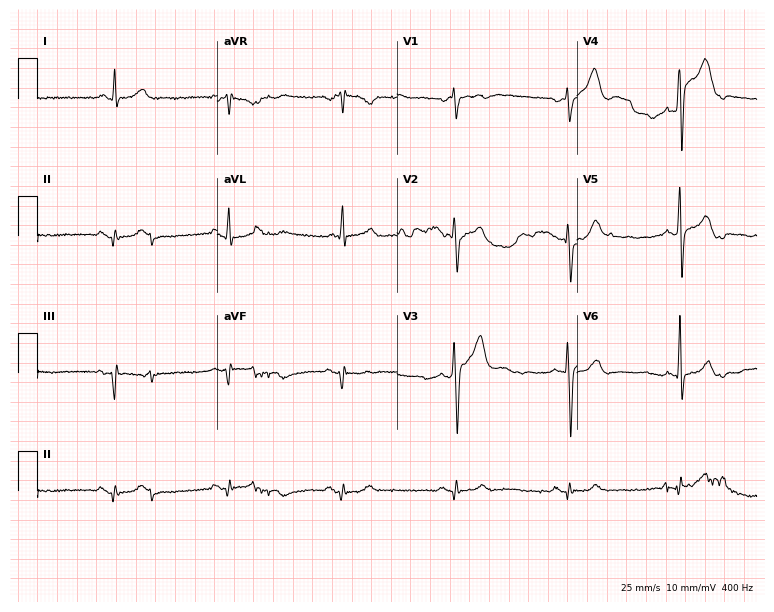
Electrocardiogram, a man, 64 years old. Of the six screened findings (first-degree AV block, right bundle branch block, left bundle branch block, sinus bradycardia, atrial fibrillation, sinus tachycardia), none is recorded.